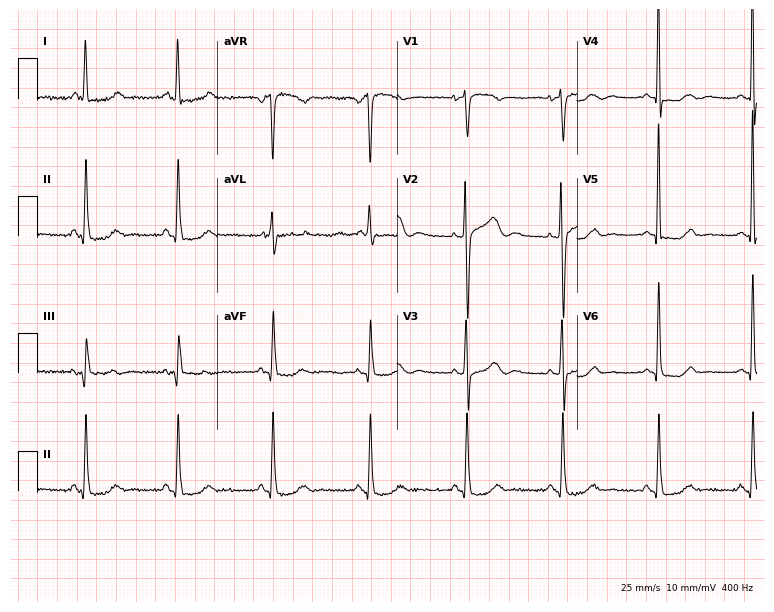
Electrocardiogram (7.3-second recording at 400 Hz), a woman, 72 years old. Overall reading on record: normal ECG.